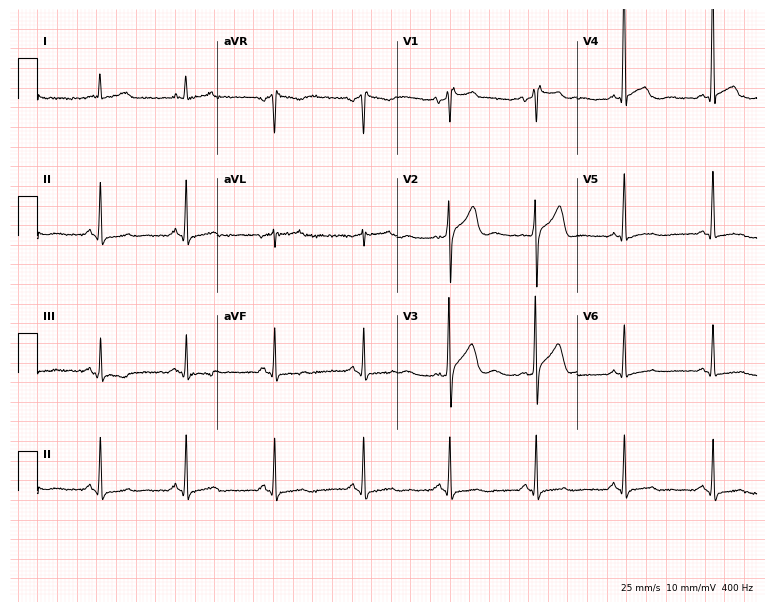
Standard 12-lead ECG recorded from a male patient, 75 years old (7.3-second recording at 400 Hz). Read as a normal ECG.